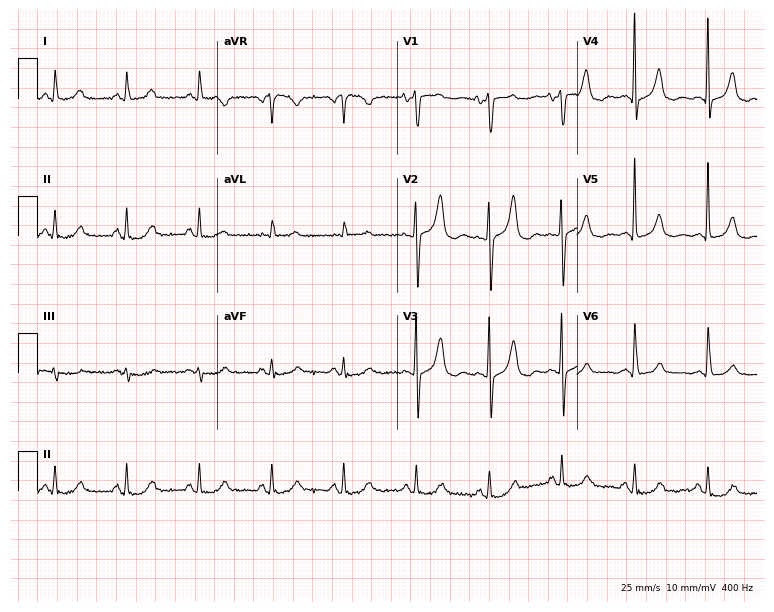
ECG — a female patient, 75 years old. Screened for six findings — first-degree AV block, right bundle branch block (RBBB), left bundle branch block (LBBB), sinus bradycardia, atrial fibrillation (AF), sinus tachycardia — none is recorded.